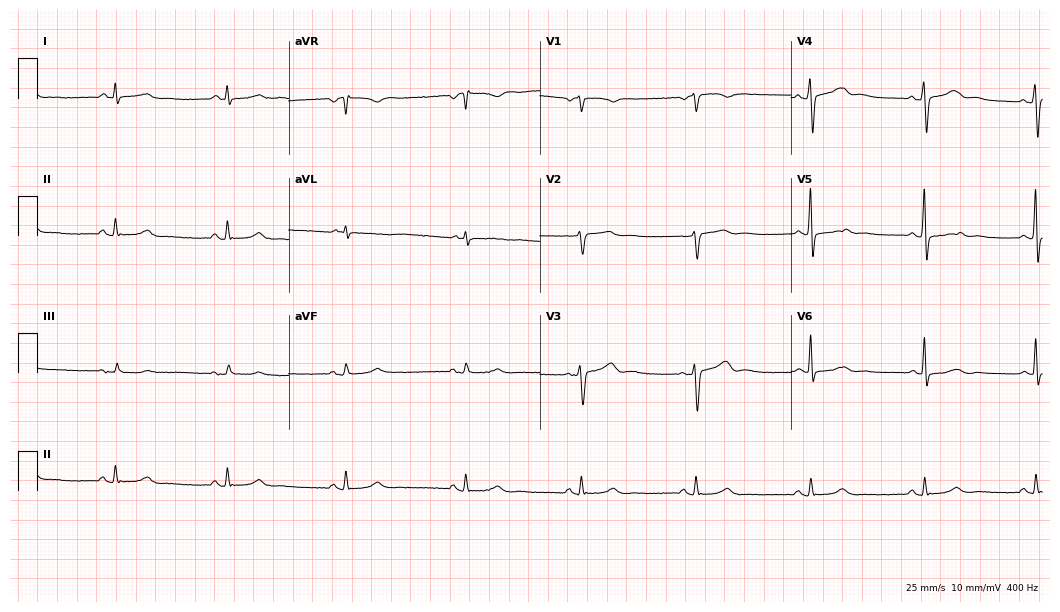
Resting 12-lead electrocardiogram. Patient: a 65-year-old man. Read as a normal ECG.